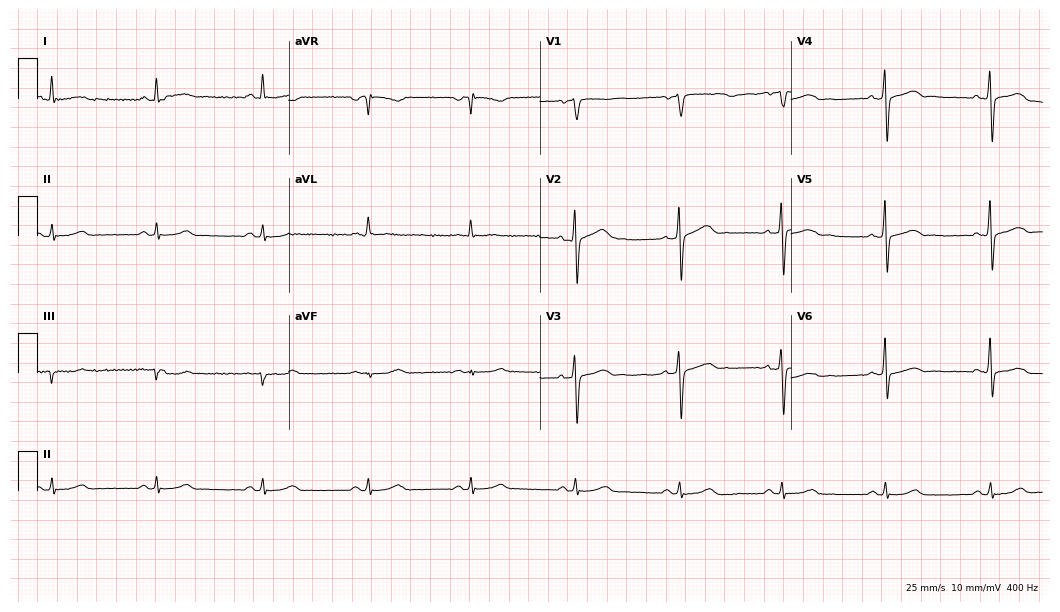
12-lead ECG from a 65-year-old male. Recorded interpretation: within normal limits.